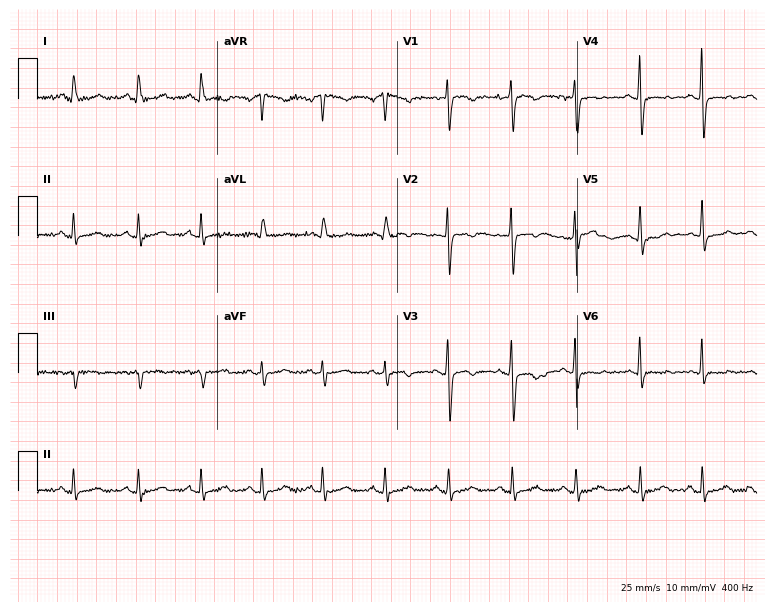
Standard 12-lead ECG recorded from a 19-year-old female (7.3-second recording at 400 Hz). None of these six findings is recorded: first-degree AV block, right bundle branch block (RBBB), left bundle branch block (LBBB), sinus bradycardia, atrial fibrillation (AF), sinus tachycardia.